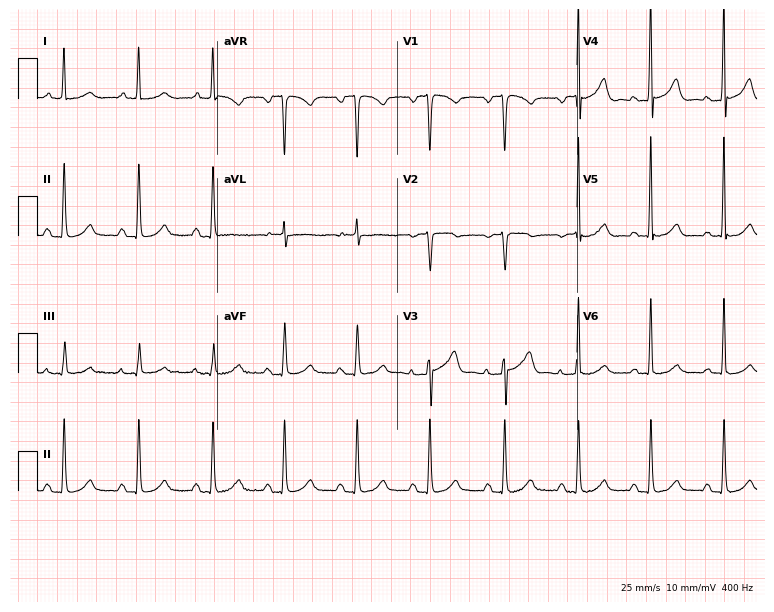
Resting 12-lead electrocardiogram (7.3-second recording at 400 Hz). Patient: a 79-year-old woman. None of these six findings is recorded: first-degree AV block, right bundle branch block, left bundle branch block, sinus bradycardia, atrial fibrillation, sinus tachycardia.